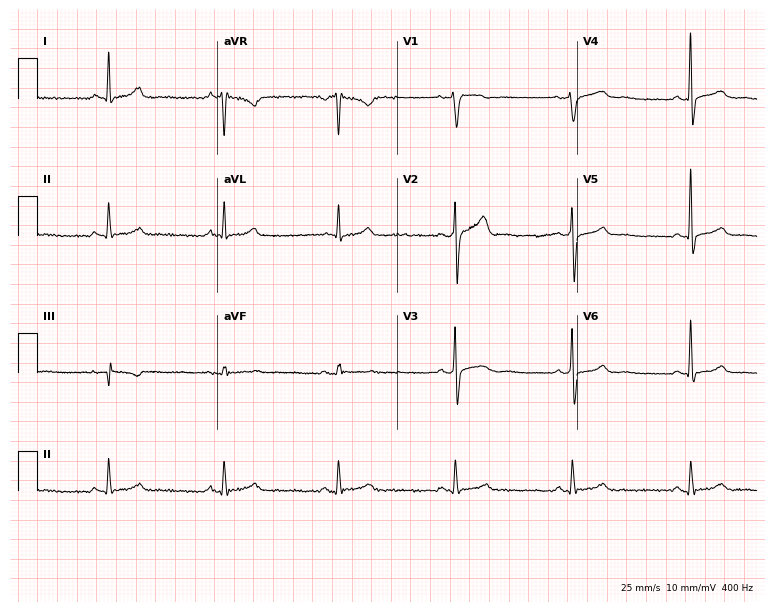
12-lead ECG (7.3-second recording at 400 Hz) from a male patient, 54 years old. Screened for six findings — first-degree AV block, right bundle branch block, left bundle branch block, sinus bradycardia, atrial fibrillation, sinus tachycardia — none is recorded. Only these six findings were labelled.